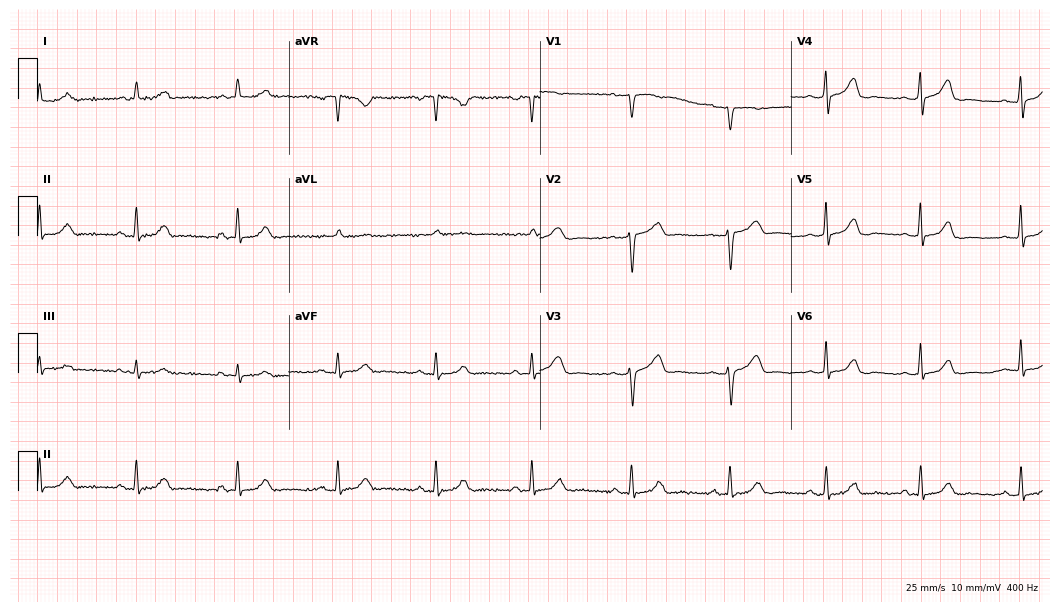
ECG — a 49-year-old female. Labelled as a normal ECG.